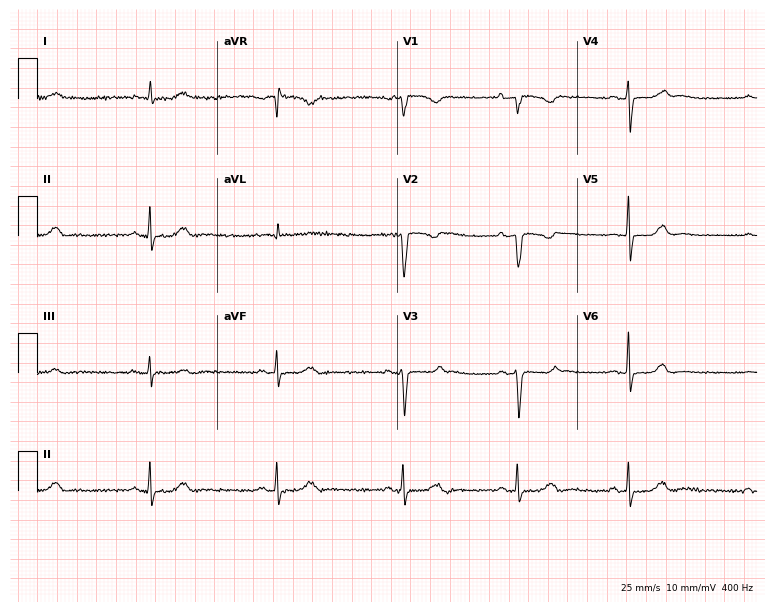
ECG — a female patient, 73 years old. Findings include sinus bradycardia (a sinus rate of 50 beats per minute or less).